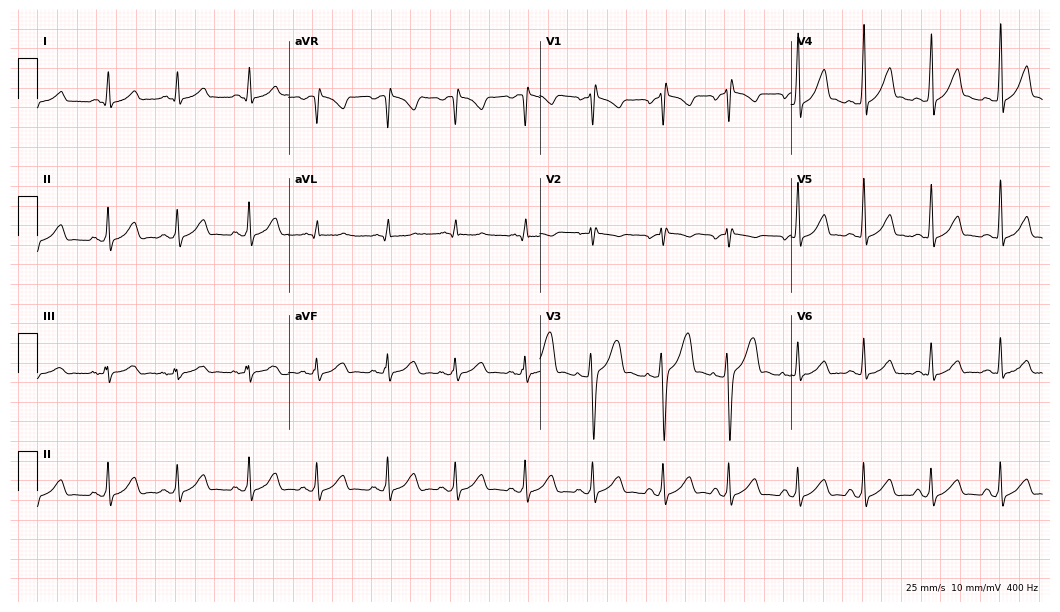
12-lead ECG from a man, 26 years old. Screened for six findings — first-degree AV block, right bundle branch block, left bundle branch block, sinus bradycardia, atrial fibrillation, sinus tachycardia — none is recorded.